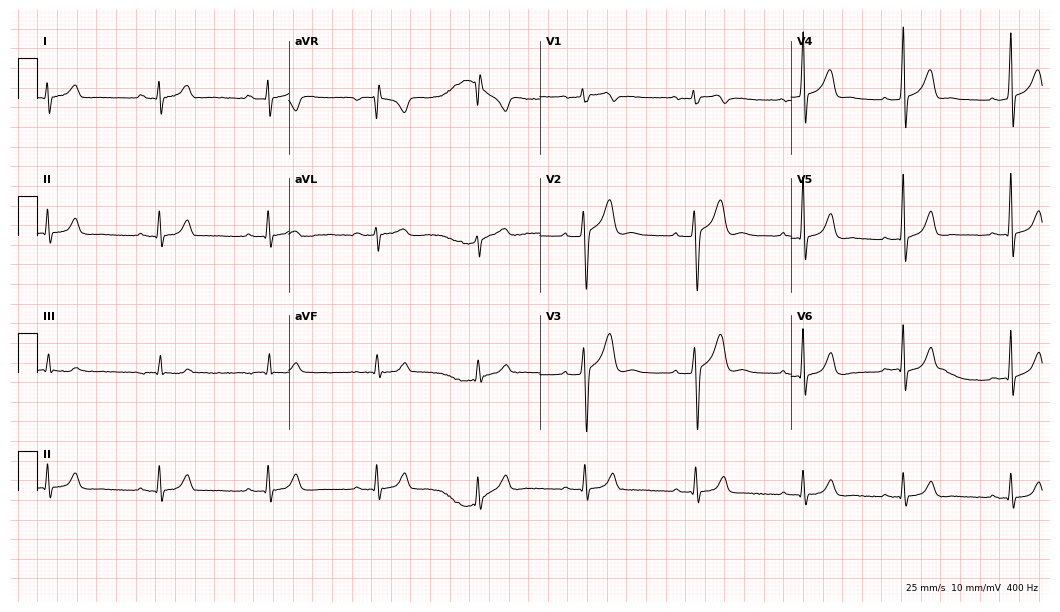
Electrocardiogram (10.2-second recording at 400 Hz), a 23-year-old male patient. Overall reading on record: normal ECG.